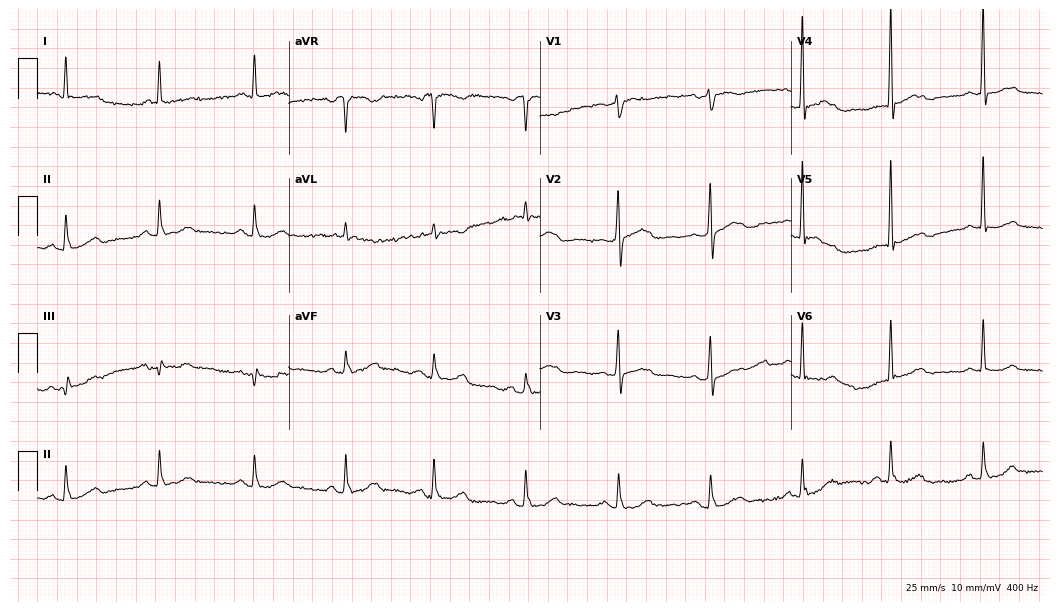
Standard 12-lead ECG recorded from an 83-year-old woman. Read as a normal ECG.